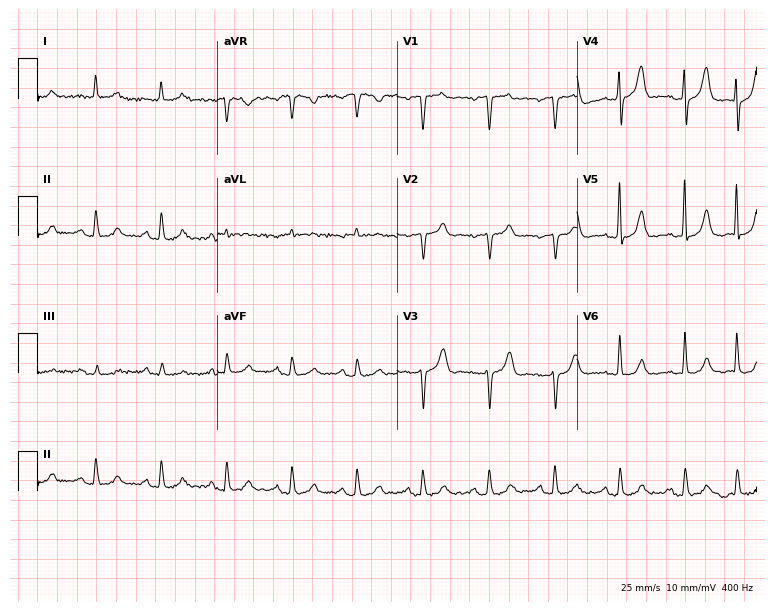
12-lead ECG from a 75-year-old man. Screened for six findings — first-degree AV block, right bundle branch block, left bundle branch block, sinus bradycardia, atrial fibrillation, sinus tachycardia — none is recorded.